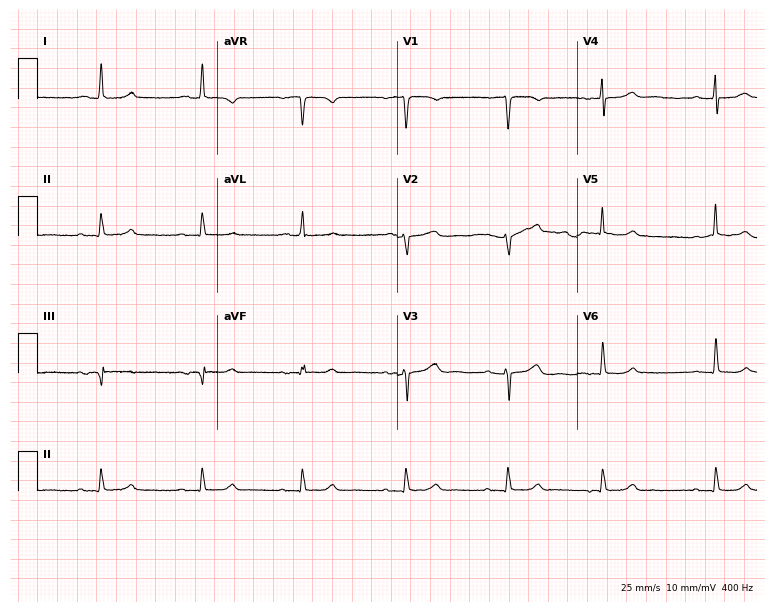
Resting 12-lead electrocardiogram. Patient: a 70-year-old woman. Read as a normal ECG.